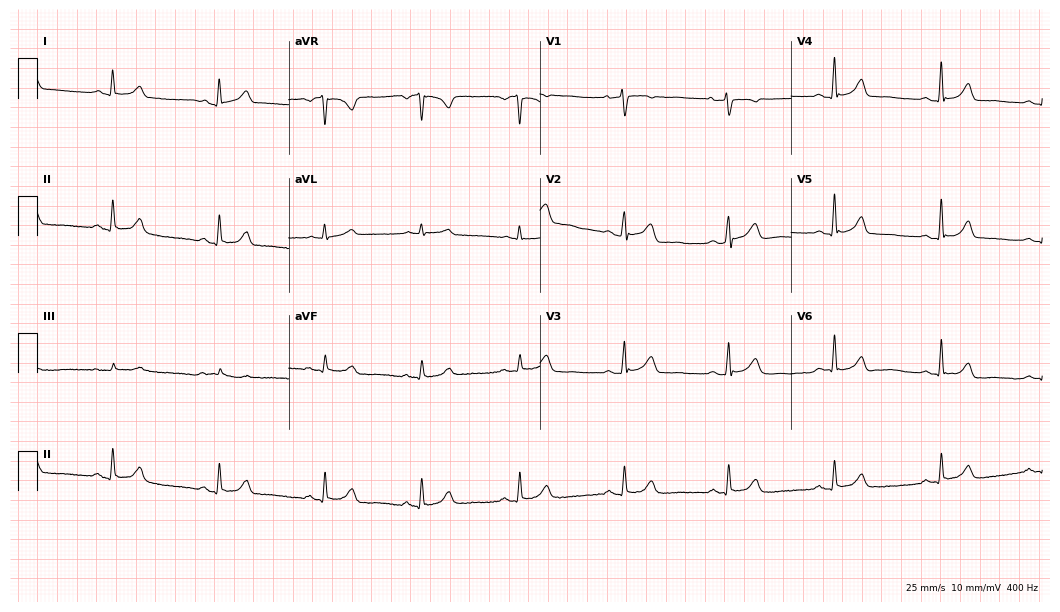
ECG (10.2-second recording at 400 Hz) — a 47-year-old female patient. Labelled as a normal ECG.